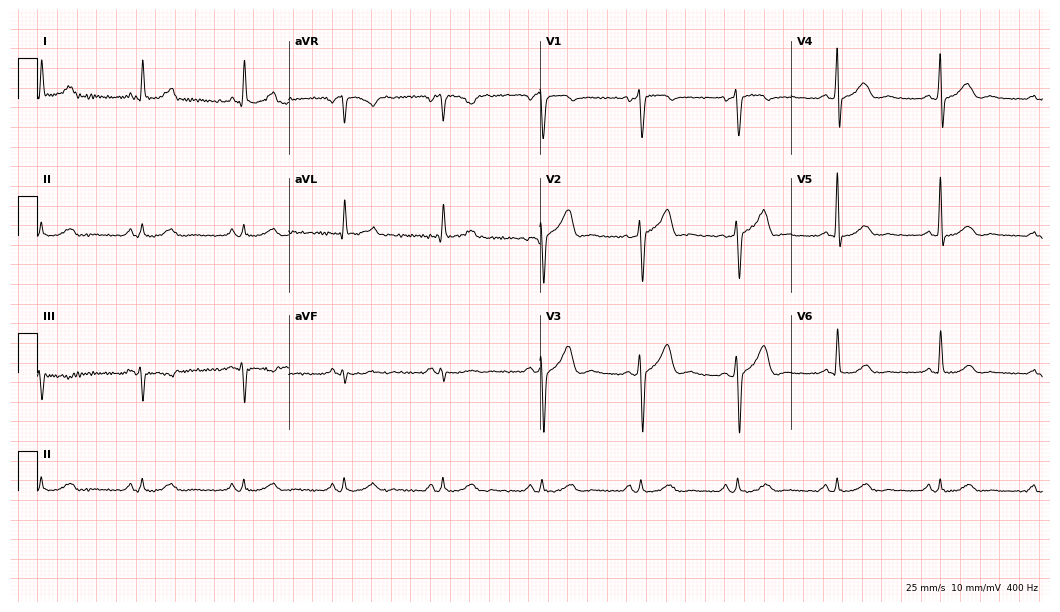
12-lead ECG (10.2-second recording at 400 Hz) from a 53-year-old male patient. Labelled as a normal ECG.